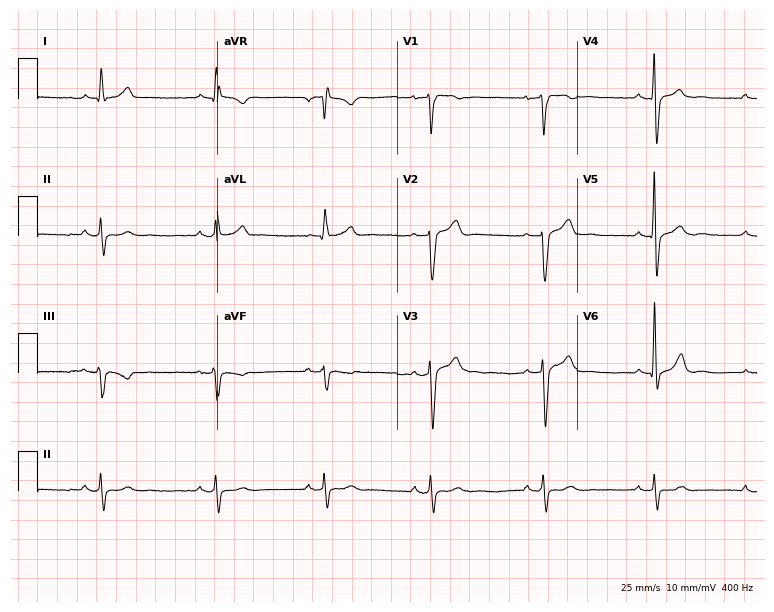
12-lead ECG from a 52-year-old male patient. No first-degree AV block, right bundle branch block (RBBB), left bundle branch block (LBBB), sinus bradycardia, atrial fibrillation (AF) or sinus tachycardia recorded for this tracing. Findings outside these six are not listed.